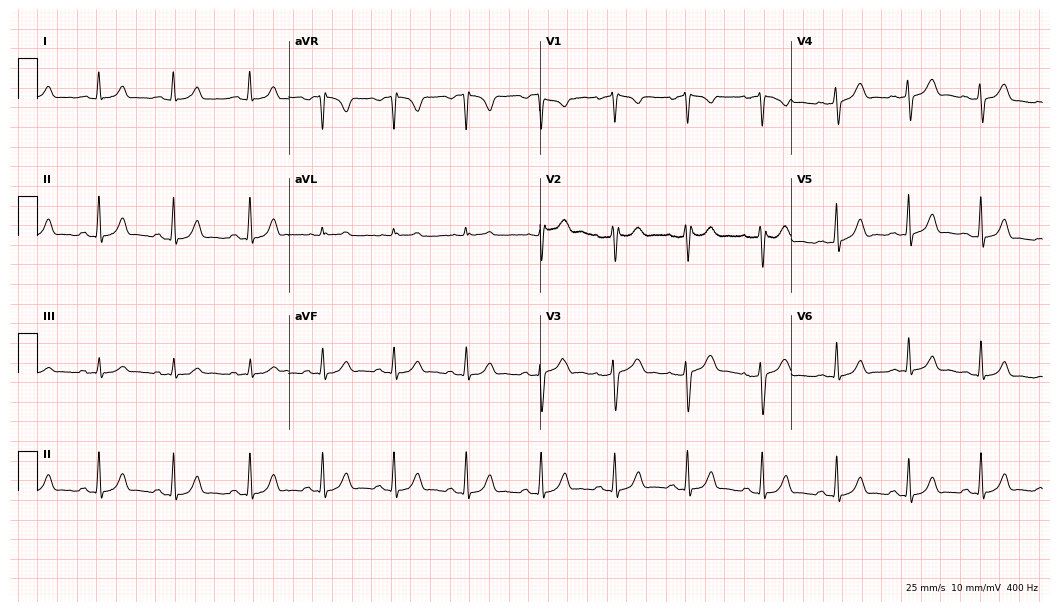
12-lead ECG from a 28-year-old woman. Labelled as a normal ECG.